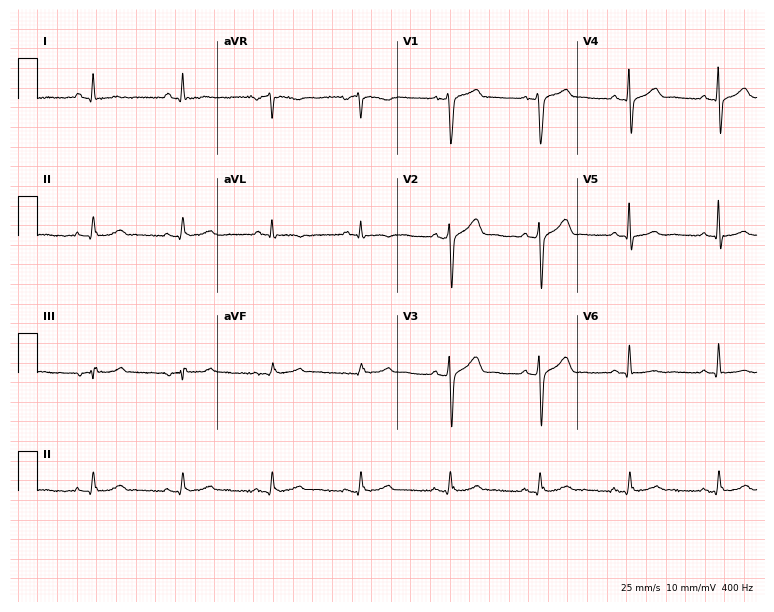
Standard 12-lead ECG recorded from a 56-year-old male patient (7.3-second recording at 400 Hz). None of these six findings is recorded: first-degree AV block, right bundle branch block, left bundle branch block, sinus bradycardia, atrial fibrillation, sinus tachycardia.